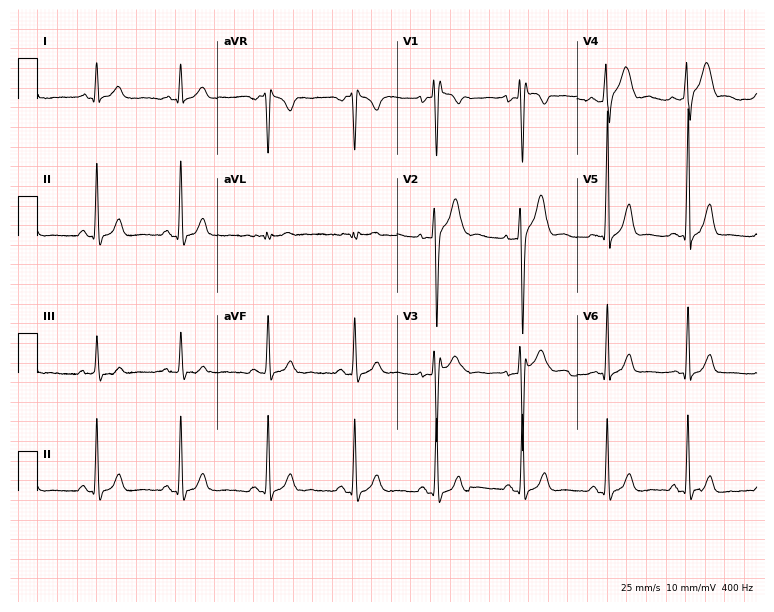
12-lead ECG (7.3-second recording at 400 Hz) from a male, 30 years old. Labelled as a normal ECG.